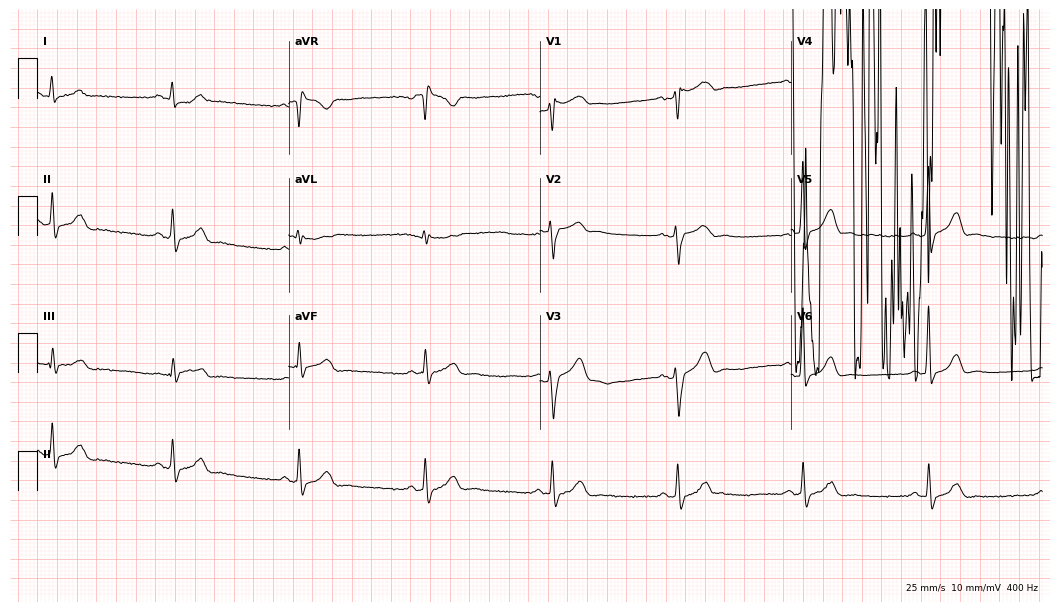
12-lead ECG from a 49-year-old man. Screened for six findings — first-degree AV block, right bundle branch block, left bundle branch block, sinus bradycardia, atrial fibrillation, sinus tachycardia — none is recorded. Other findings, if any, are not listed.